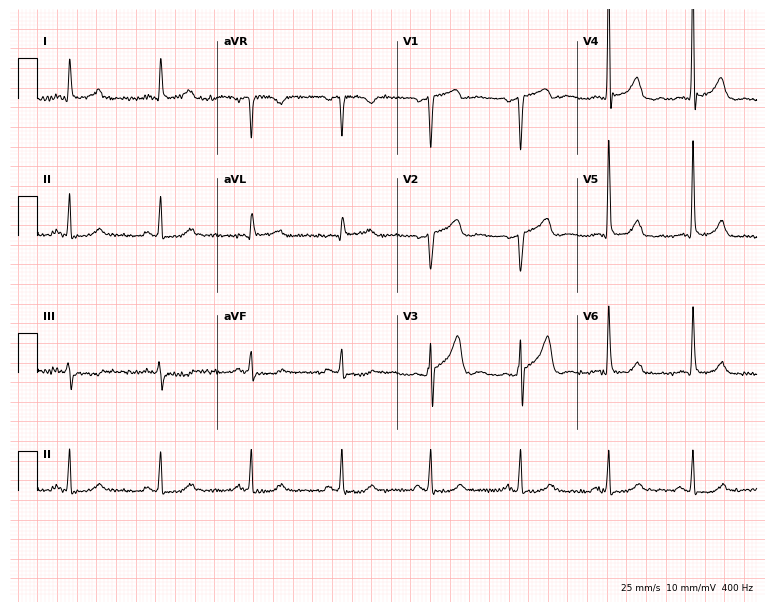
Electrocardiogram (7.3-second recording at 400 Hz), a 49-year-old man. Of the six screened findings (first-degree AV block, right bundle branch block, left bundle branch block, sinus bradycardia, atrial fibrillation, sinus tachycardia), none is recorded.